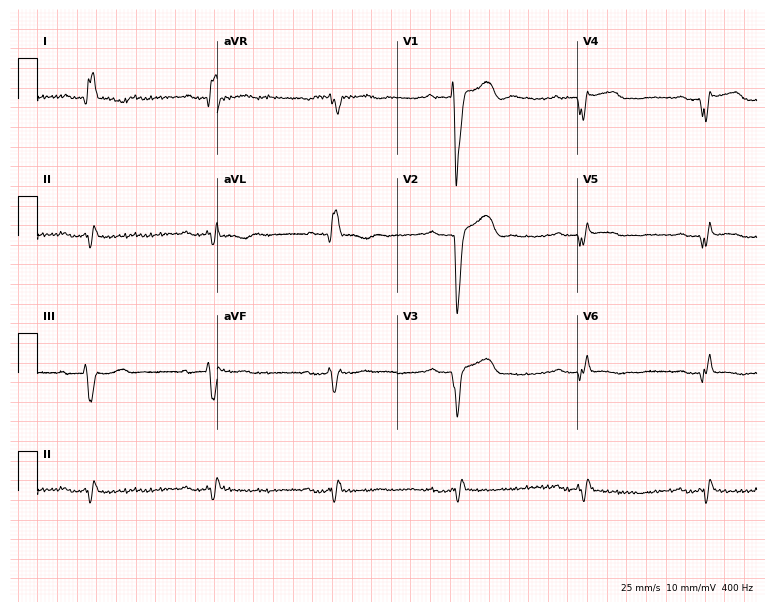
12-lead ECG from a 69-year-old man (7.3-second recording at 400 Hz). Shows first-degree AV block, left bundle branch block, sinus bradycardia (a sinus rate of 50 beats per minute or less).